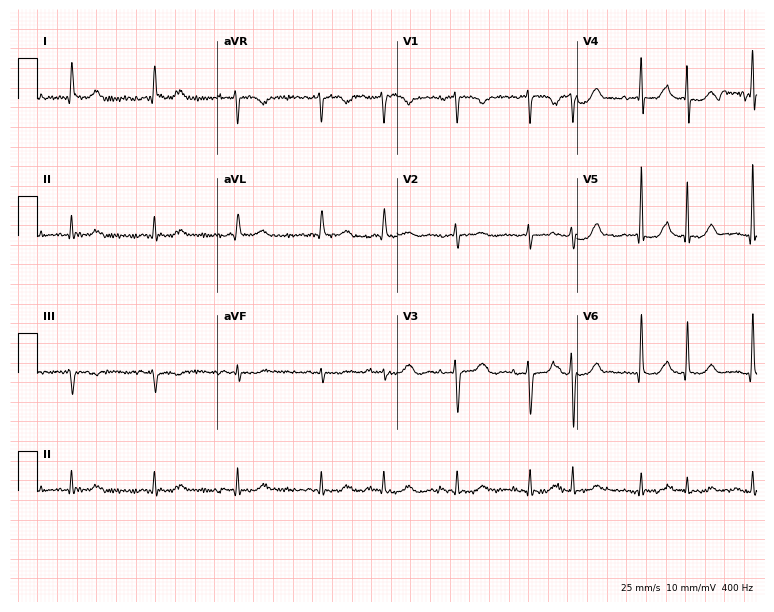
12-lead ECG from a woman, 82 years old (7.3-second recording at 400 Hz). No first-degree AV block, right bundle branch block (RBBB), left bundle branch block (LBBB), sinus bradycardia, atrial fibrillation (AF) or sinus tachycardia recorded for this tracing.